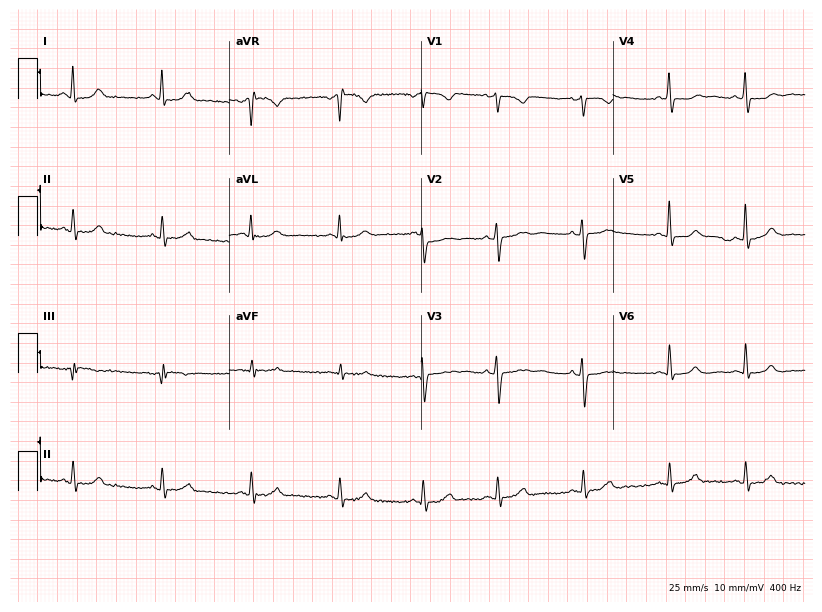
ECG (7.8-second recording at 400 Hz) — a female, 32 years old. Screened for six findings — first-degree AV block, right bundle branch block, left bundle branch block, sinus bradycardia, atrial fibrillation, sinus tachycardia — none is recorded.